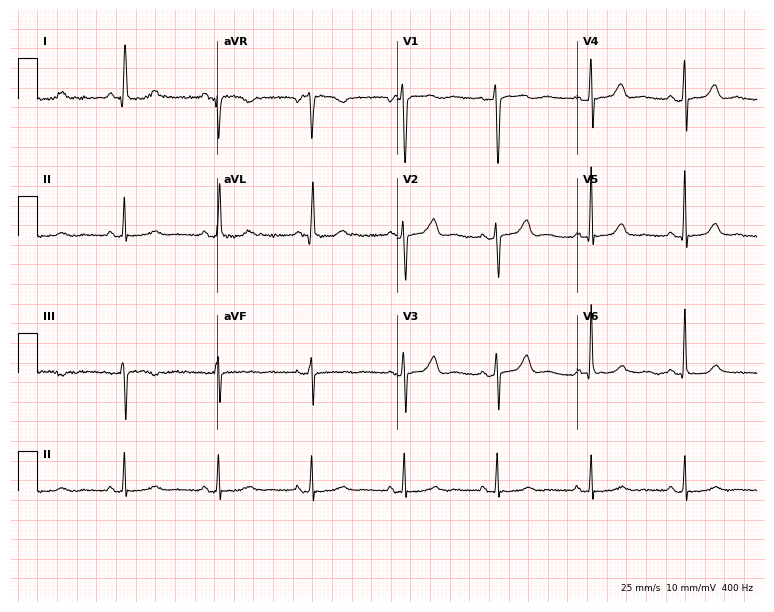
Resting 12-lead electrocardiogram (7.3-second recording at 400 Hz). Patient: a 60-year-old female. None of these six findings is recorded: first-degree AV block, right bundle branch block (RBBB), left bundle branch block (LBBB), sinus bradycardia, atrial fibrillation (AF), sinus tachycardia.